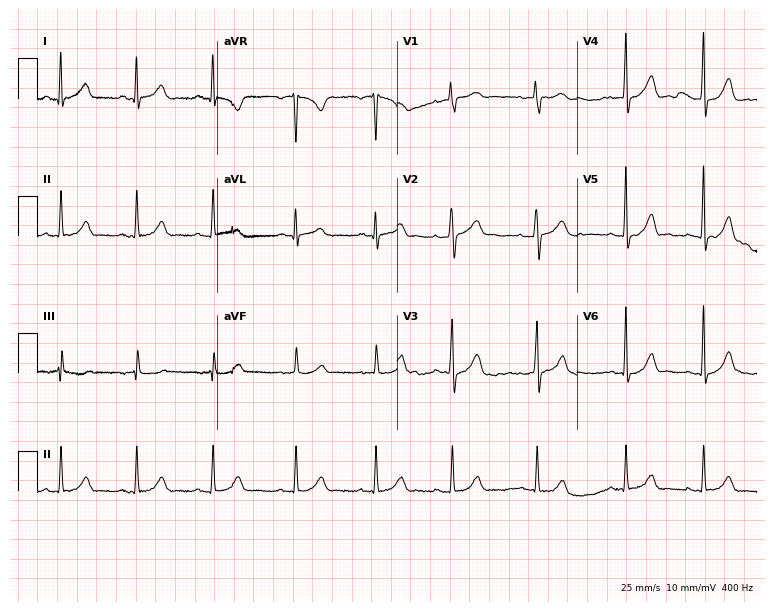
Electrocardiogram (7.3-second recording at 400 Hz), a 34-year-old female patient. Overall reading on record: normal ECG.